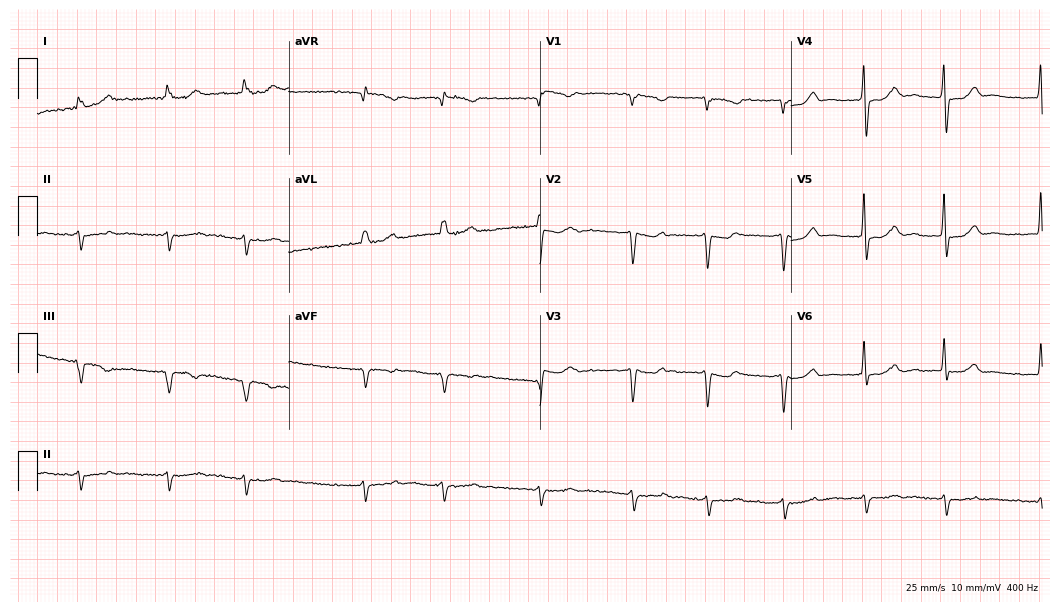
Standard 12-lead ECG recorded from a man, 83 years old. None of these six findings is recorded: first-degree AV block, right bundle branch block, left bundle branch block, sinus bradycardia, atrial fibrillation, sinus tachycardia. Other findings, if any, are not listed.